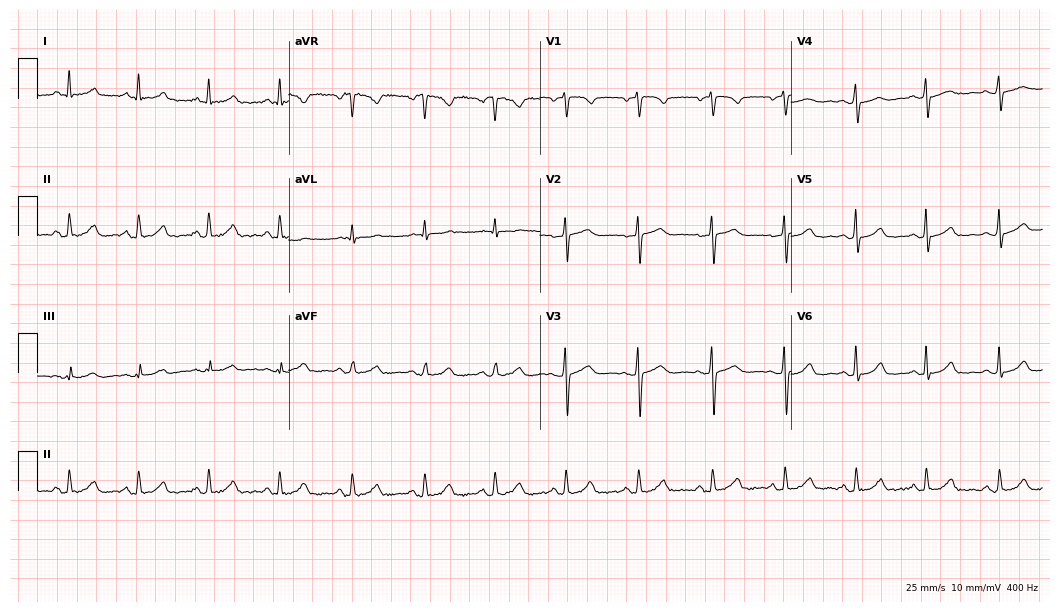
Standard 12-lead ECG recorded from a 56-year-old female patient (10.2-second recording at 400 Hz). Read as a normal ECG.